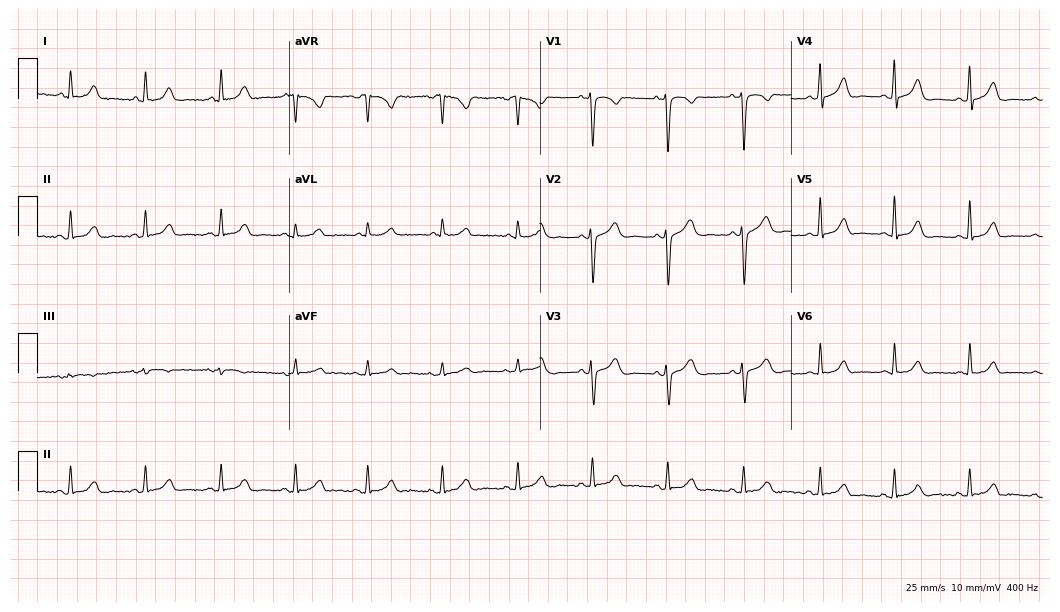
ECG — a female patient, 42 years old. Labelled as a normal ECG.